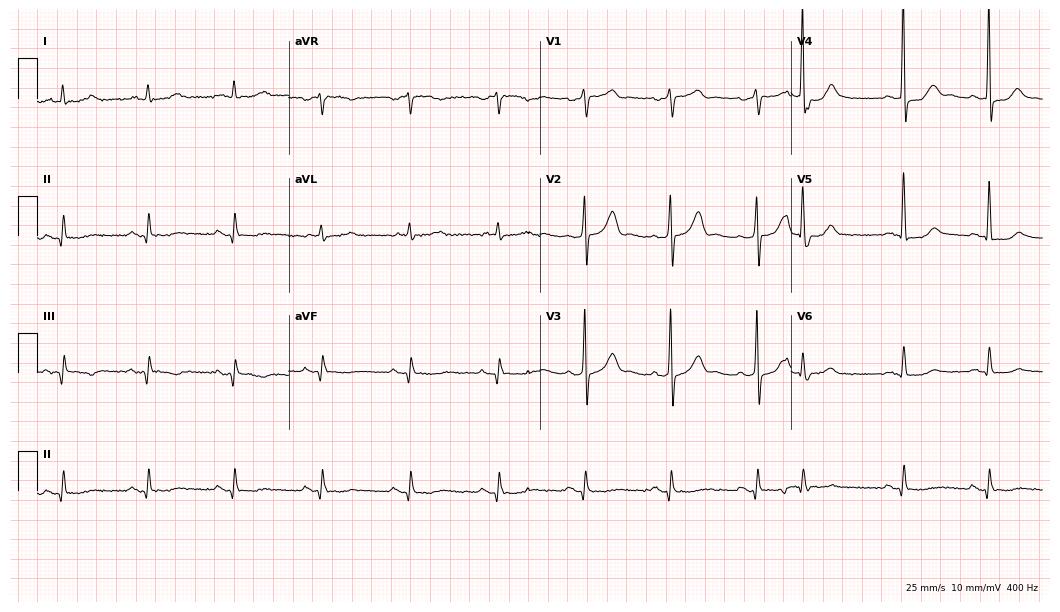
Electrocardiogram, an 84-year-old male. Of the six screened findings (first-degree AV block, right bundle branch block (RBBB), left bundle branch block (LBBB), sinus bradycardia, atrial fibrillation (AF), sinus tachycardia), none is recorded.